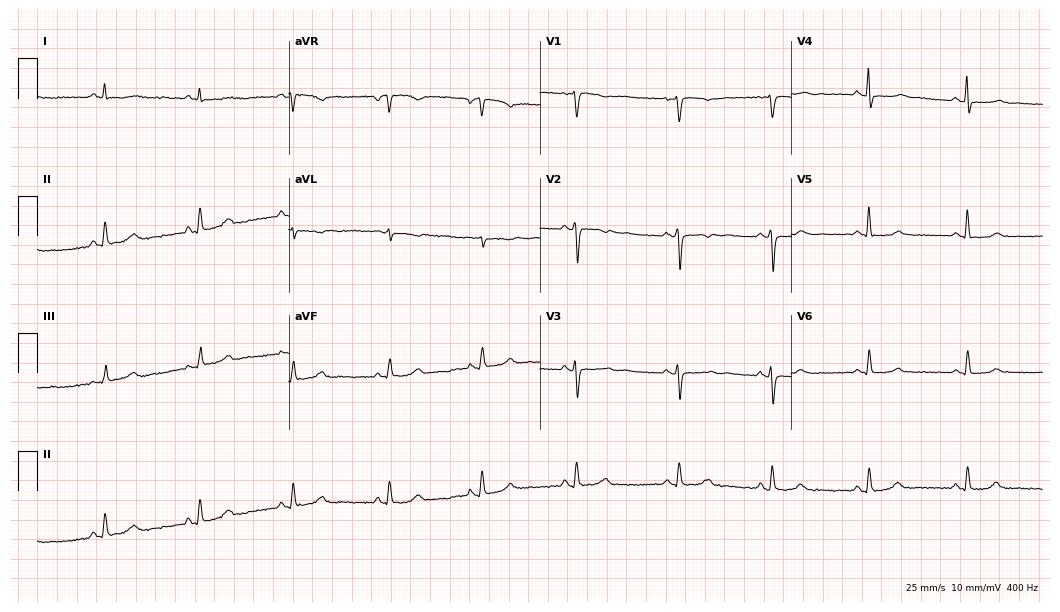
Resting 12-lead electrocardiogram (10.2-second recording at 400 Hz). Patient: a 47-year-old female. None of these six findings is recorded: first-degree AV block, right bundle branch block, left bundle branch block, sinus bradycardia, atrial fibrillation, sinus tachycardia.